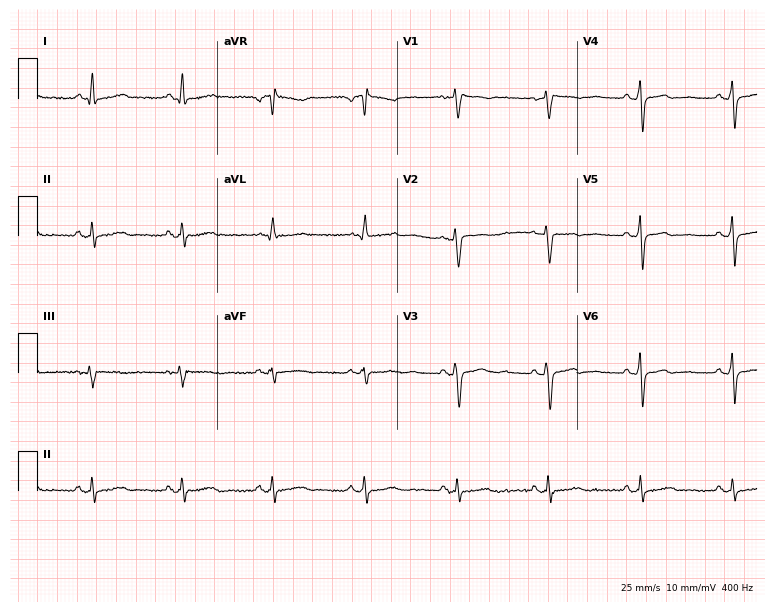
ECG (7.3-second recording at 400 Hz) — a female, 50 years old. Labelled as a normal ECG.